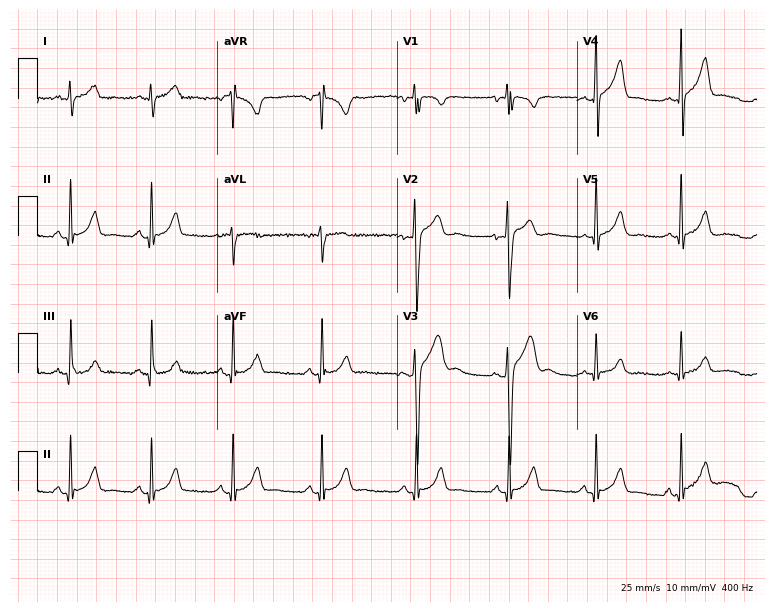
Standard 12-lead ECG recorded from a male, 19 years old (7.3-second recording at 400 Hz). Read as a normal ECG.